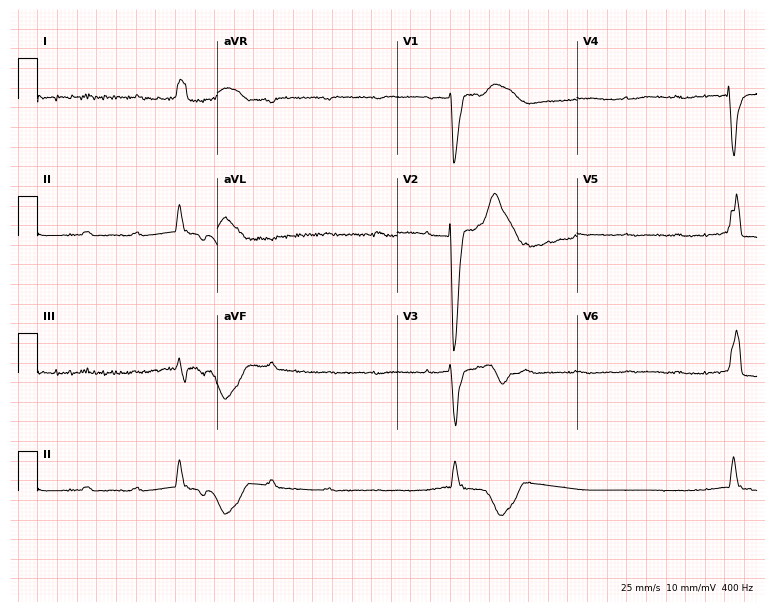
Standard 12-lead ECG recorded from a 76-year-old male patient. None of these six findings is recorded: first-degree AV block, right bundle branch block, left bundle branch block, sinus bradycardia, atrial fibrillation, sinus tachycardia.